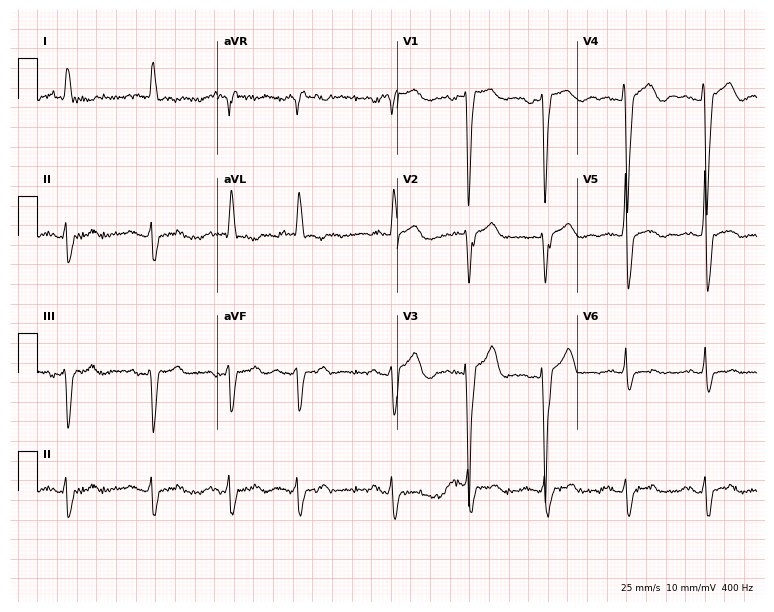
Electrocardiogram (7.3-second recording at 400 Hz), a male patient, 68 years old. Interpretation includes left bundle branch block (LBBB).